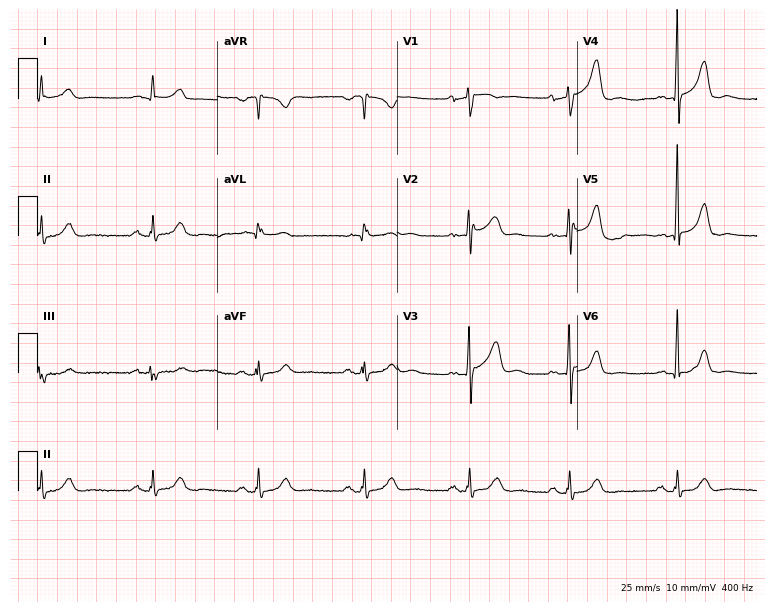
12-lead ECG from a male patient, 49 years old (7.3-second recording at 400 Hz). Recorded interpretation: within normal limits.